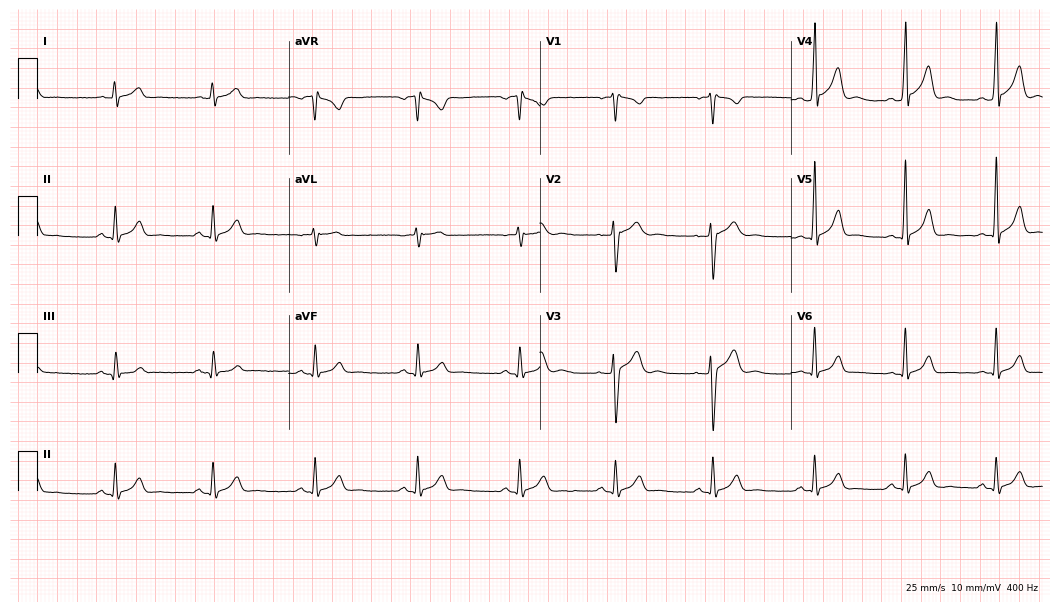
Resting 12-lead electrocardiogram. Patient: a male, 32 years old. Read as a normal ECG.